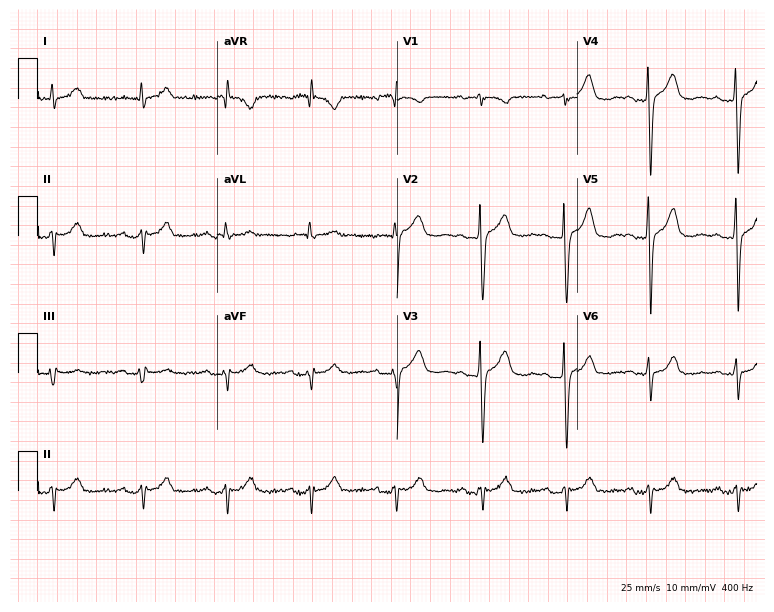
Electrocardiogram, a male, 76 years old. Of the six screened findings (first-degree AV block, right bundle branch block, left bundle branch block, sinus bradycardia, atrial fibrillation, sinus tachycardia), none is recorded.